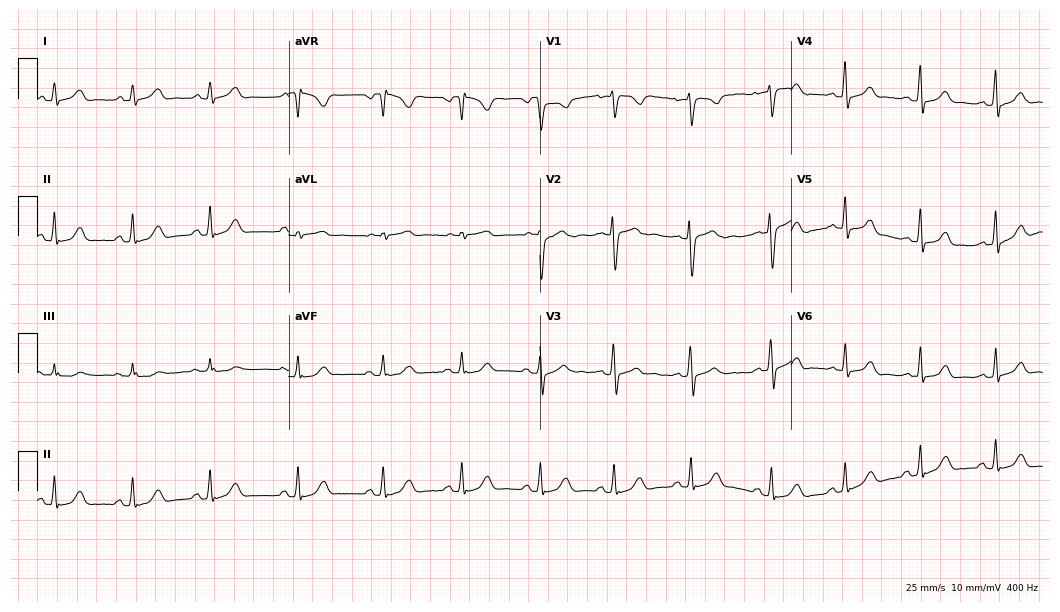
Electrocardiogram (10.2-second recording at 400 Hz), an 18-year-old woman. Overall reading on record: normal ECG.